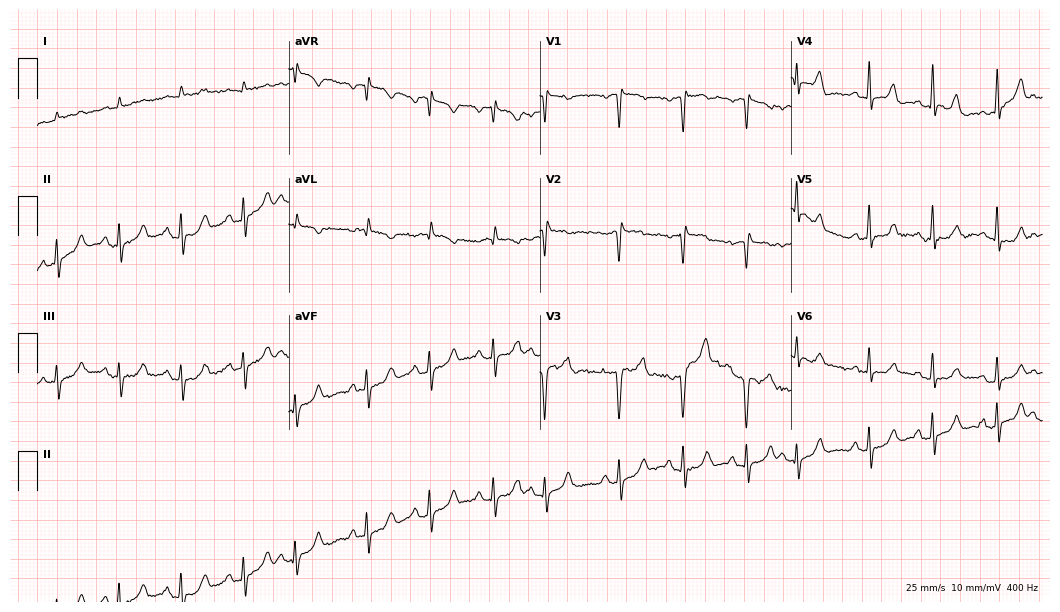
12-lead ECG from a 67-year-old male patient. Screened for six findings — first-degree AV block, right bundle branch block, left bundle branch block, sinus bradycardia, atrial fibrillation, sinus tachycardia — none is recorded.